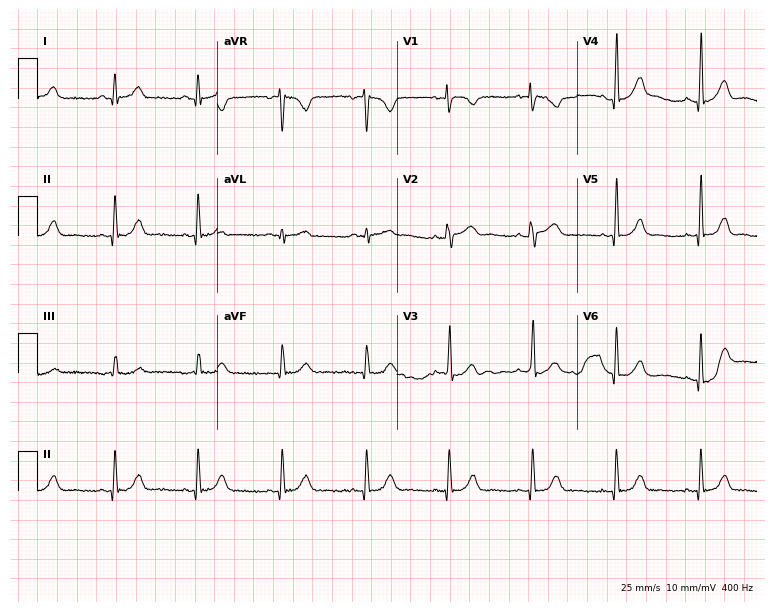
12-lead ECG from a female, 60 years old (7.3-second recording at 400 Hz). Recorded interpretation: within normal limits.